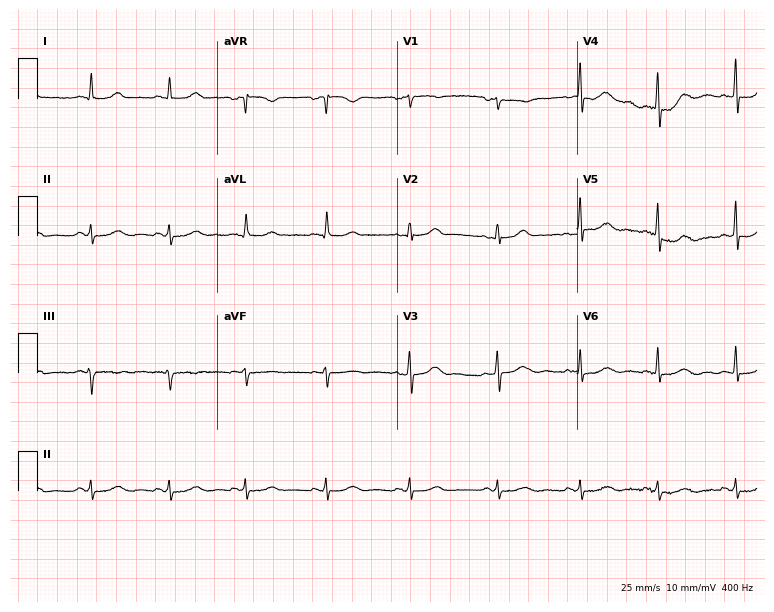
12-lead ECG from a 52-year-old female patient. Labelled as a normal ECG.